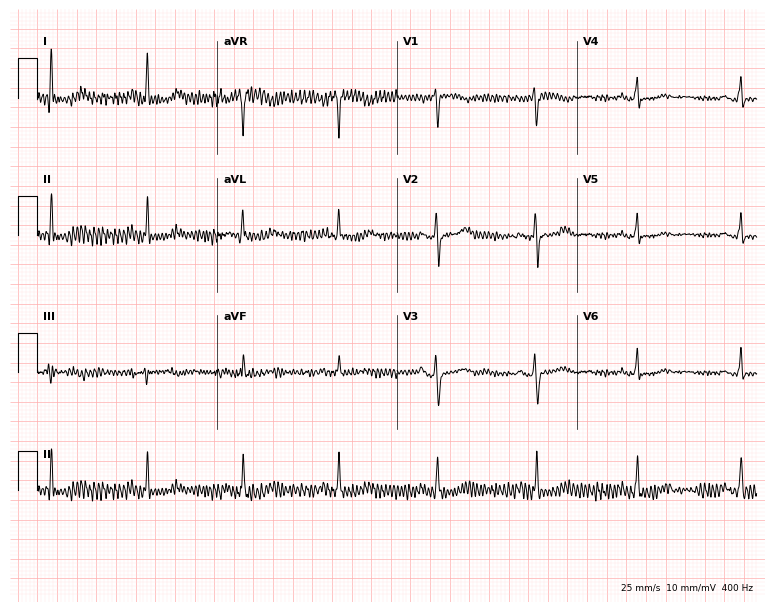
ECG — a 54-year-old female. Screened for six findings — first-degree AV block, right bundle branch block (RBBB), left bundle branch block (LBBB), sinus bradycardia, atrial fibrillation (AF), sinus tachycardia — none is recorded.